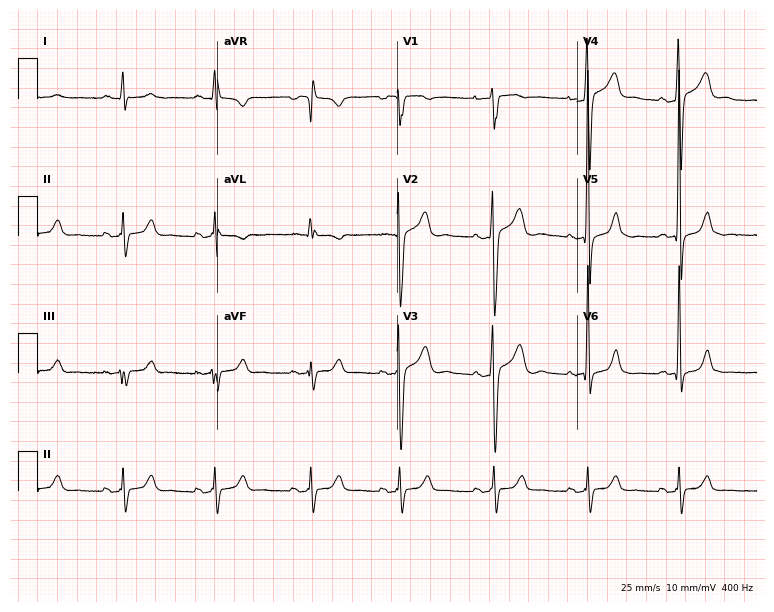
12-lead ECG from a 23-year-old male (7.3-second recording at 400 Hz). No first-degree AV block, right bundle branch block, left bundle branch block, sinus bradycardia, atrial fibrillation or sinus tachycardia recorded for this tracing. Other findings, if any, are not listed.